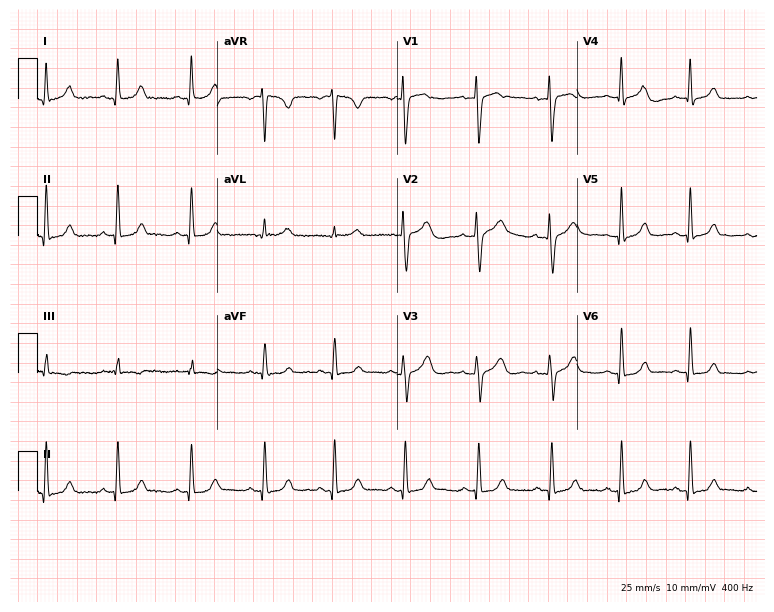
Resting 12-lead electrocardiogram (7.3-second recording at 400 Hz). Patient: a 43-year-old woman. Read as a normal ECG.